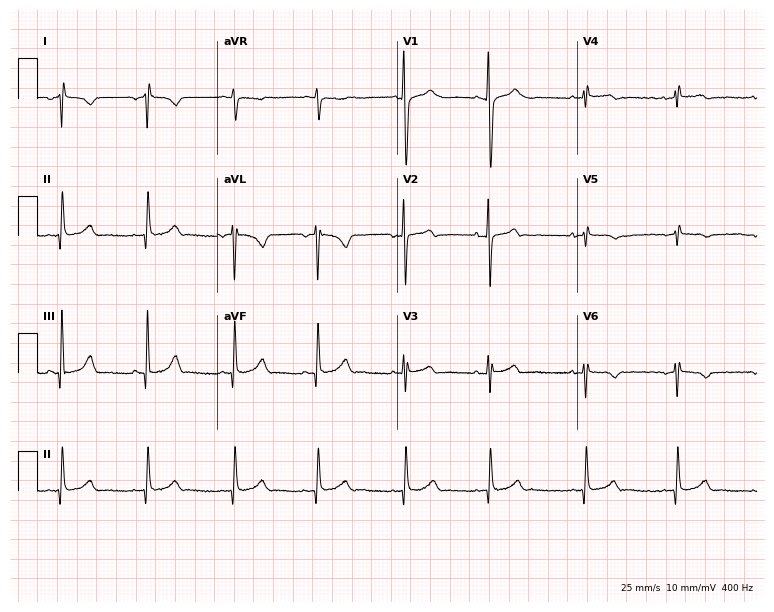
Resting 12-lead electrocardiogram. Patient: a female, 30 years old. None of these six findings is recorded: first-degree AV block, right bundle branch block, left bundle branch block, sinus bradycardia, atrial fibrillation, sinus tachycardia. Other findings, if any, are not listed.